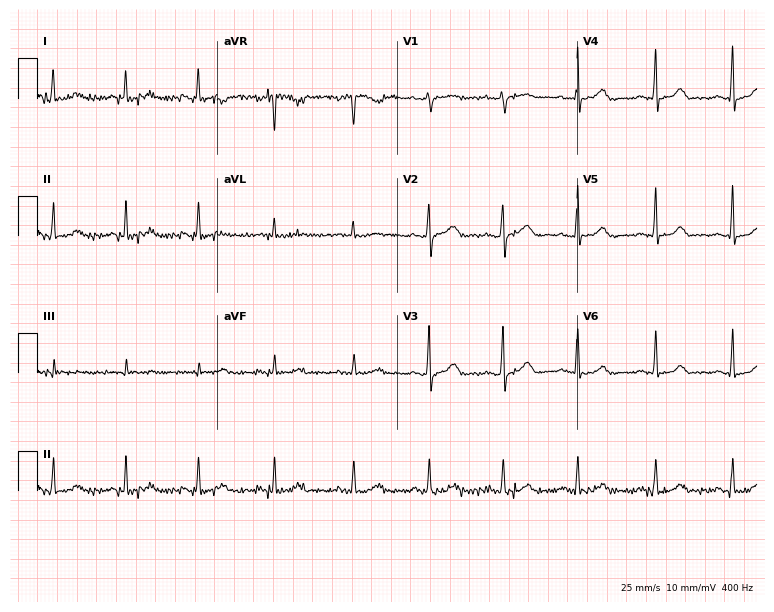
ECG — a woman, 32 years old. Screened for six findings — first-degree AV block, right bundle branch block, left bundle branch block, sinus bradycardia, atrial fibrillation, sinus tachycardia — none is recorded. Other findings, if any, are not listed.